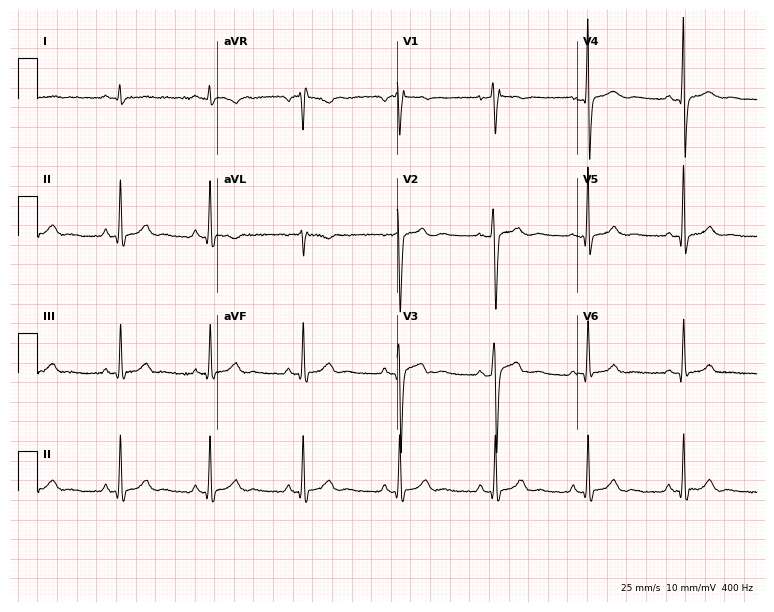
Resting 12-lead electrocardiogram (7.3-second recording at 400 Hz). Patient: a 33-year-old male. None of these six findings is recorded: first-degree AV block, right bundle branch block, left bundle branch block, sinus bradycardia, atrial fibrillation, sinus tachycardia.